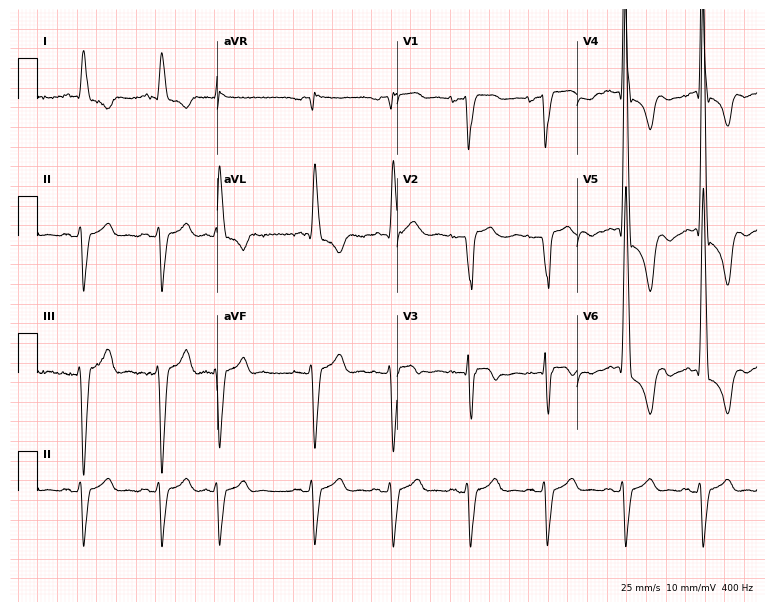
ECG — an 82-year-old male. Screened for six findings — first-degree AV block, right bundle branch block (RBBB), left bundle branch block (LBBB), sinus bradycardia, atrial fibrillation (AF), sinus tachycardia — none is recorded. Findings outside these six are not listed.